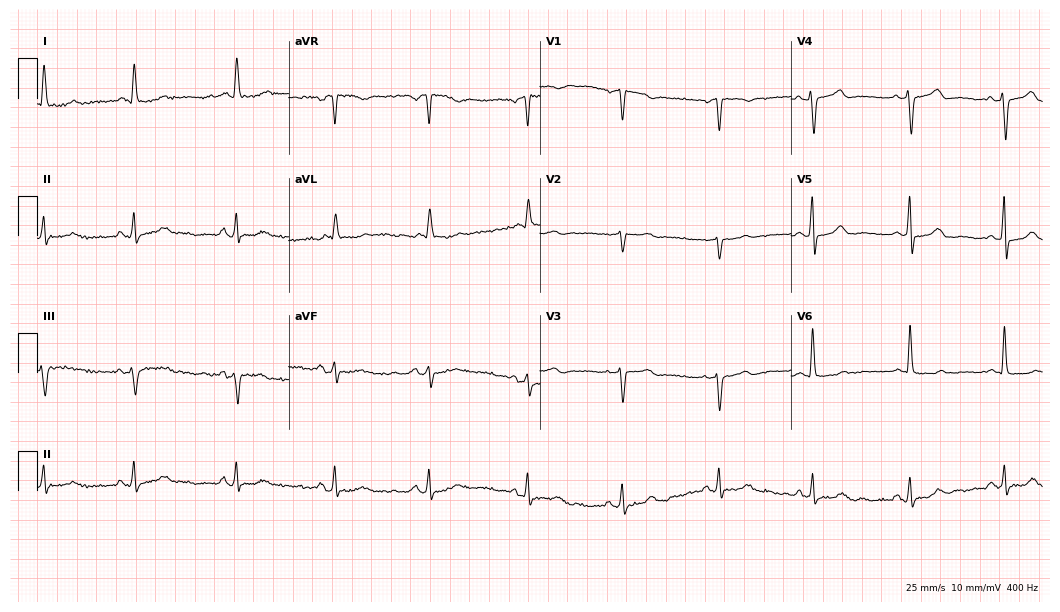
Electrocardiogram, a female patient, 76 years old. Of the six screened findings (first-degree AV block, right bundle branch block, left bundle branch block, sinus bradycardia, atrial fibrillation, sinus tachycardia), none is recorded. Other findings, if any, are not listed.